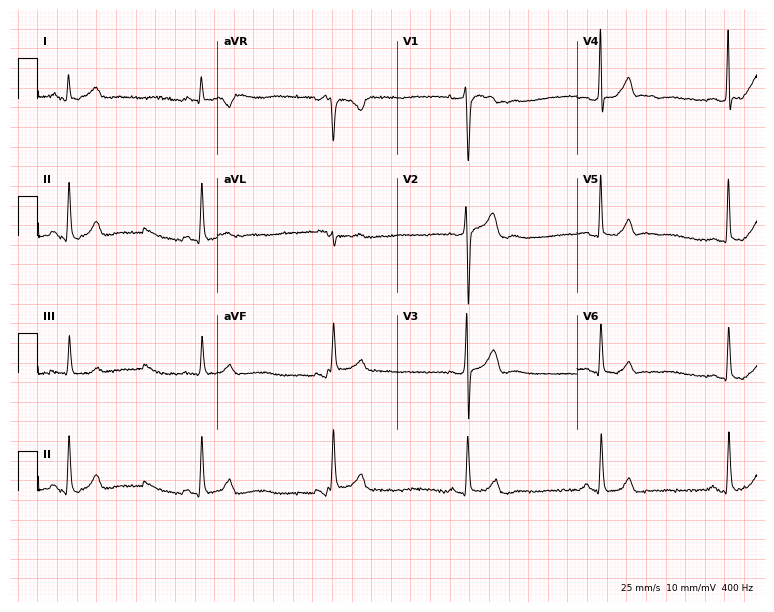
Resting 12-lead electrocardiogram. Patient: a man, 45 years old. The tracing shows sinus bradycardia (a sinus rate of 50 beats per minute or less).